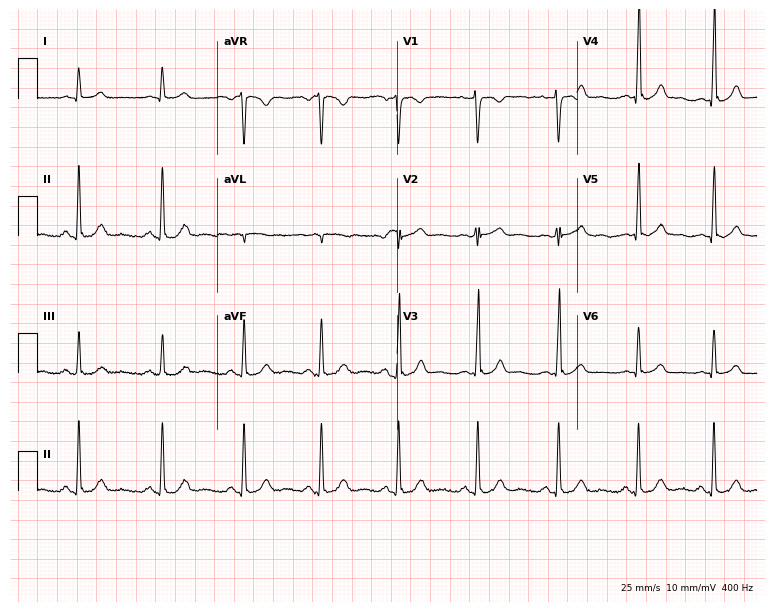
Electrocardiogram, a 31-year-old woman. Of the six screened findings (first-degree AV block, right bundle branch block (RBBB), left bundle branch block (LBBB), sinus bradycardia, atrial fibrillation (AF), sinus tachycardia), none is recorded. Other findings, if any, are not listed.